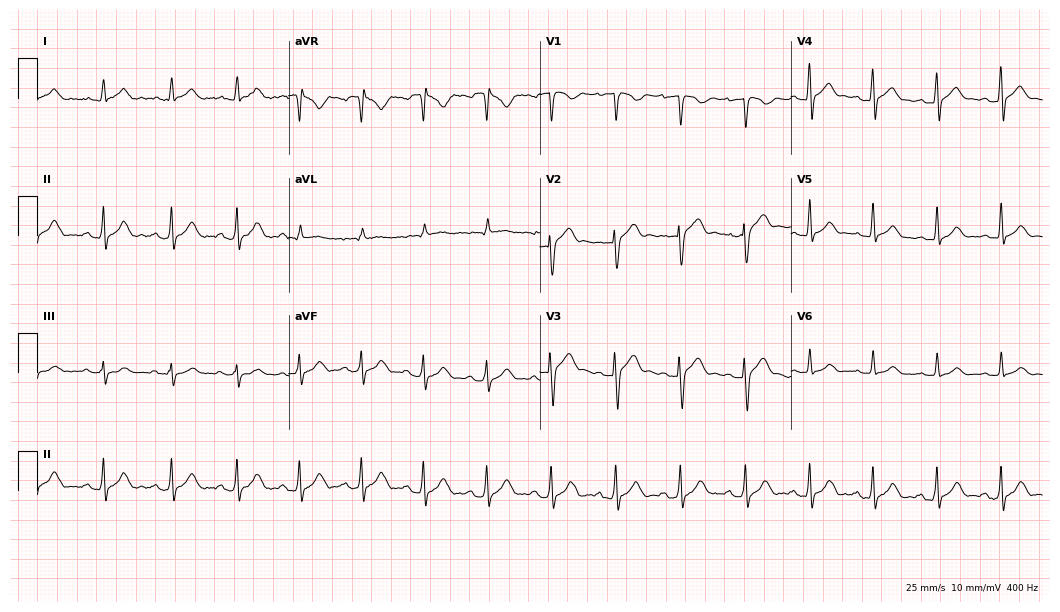
12-lead ECG (10.2-second recording at 400 Hz) from a male, 21 years old. Labelled as a normal ECG.